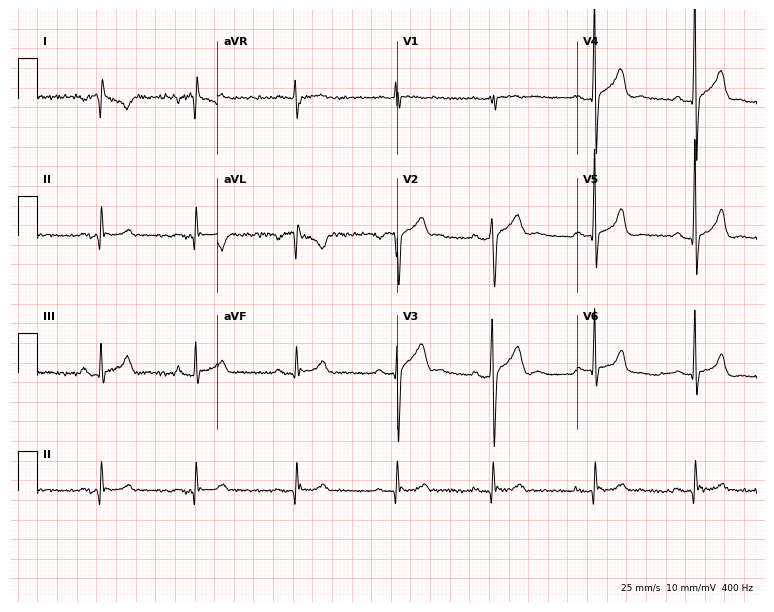
ECG (7.3-second recording at 400 Hz) — a male, 28 years old. Screened for six findings — first-degree AV block, right bundle branch block (RBBB), left bundle branch block (LBBB), sinus bradycardia, atrial fibrillation (AF), sinus tachycardia — none is recorded.